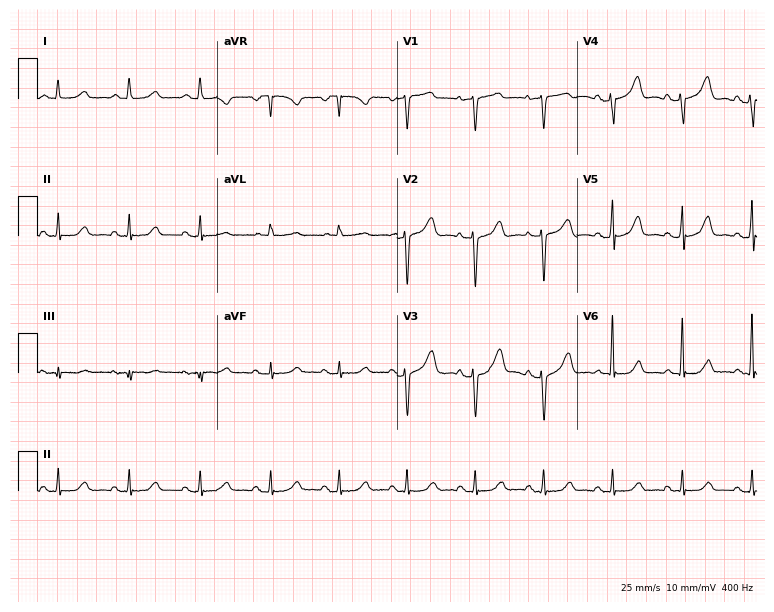
Standard 12-lead ECG recorded from a man, 61 years old. Read as a normal ECG.